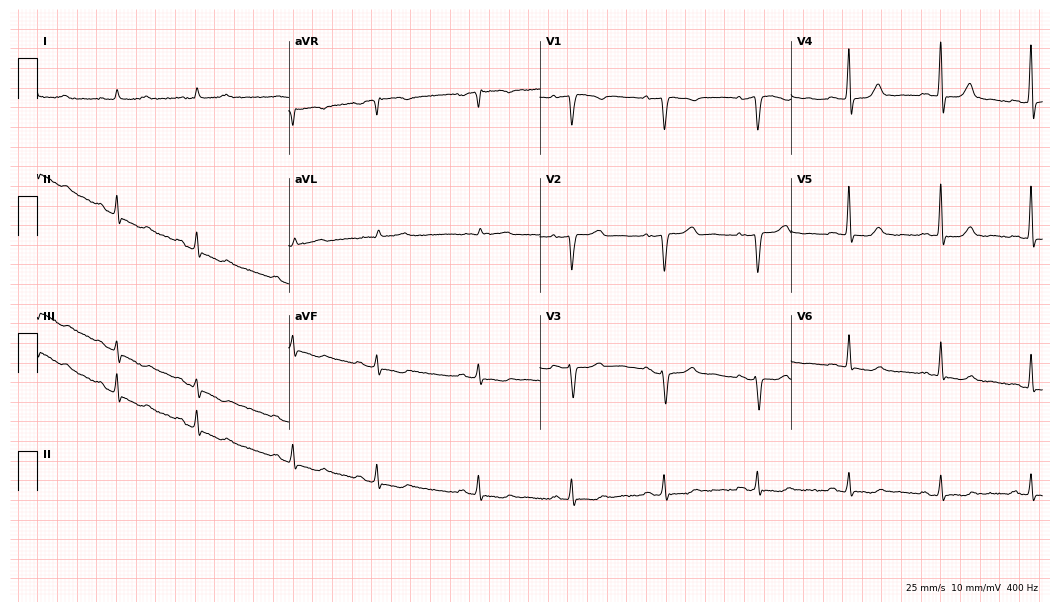
12-lead ECG from a 72-year-old female. No first-degree AV block, right bundle branch block (RBBB), left bundle branch block (LBBB), sinus bradycardia, atrial fibrillation (AF) or sinus tachycardia recorded for this tracing.